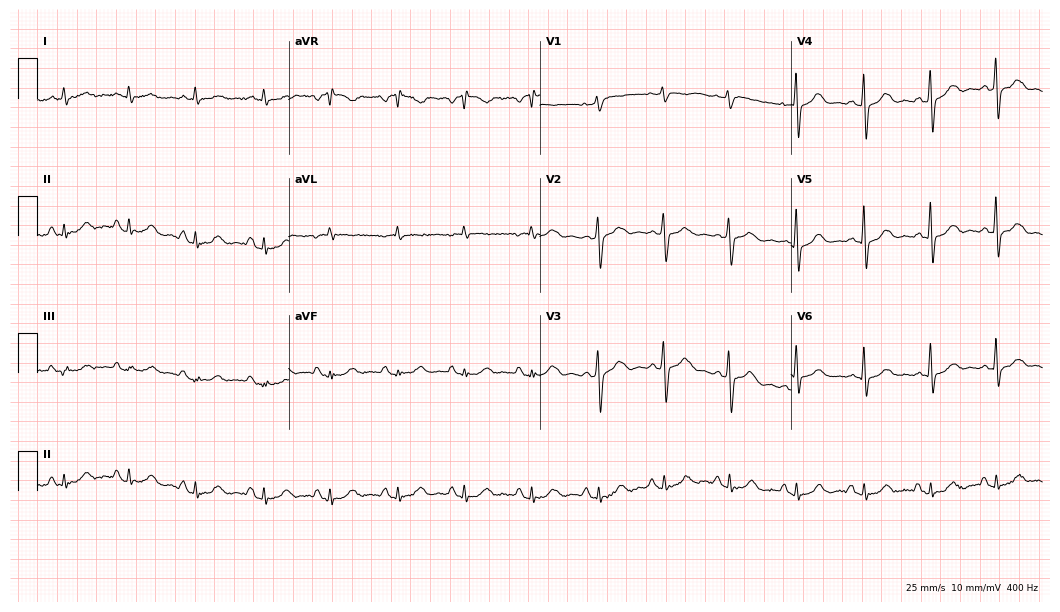
Electrocardiogram, a 77-year-old male patient. Of the six screened findings (first-degree AV block, right bundle branch block, left bundle branch block, sinus bradycardia, atrial fibrillation, sinus tachycardia), none is recorded.